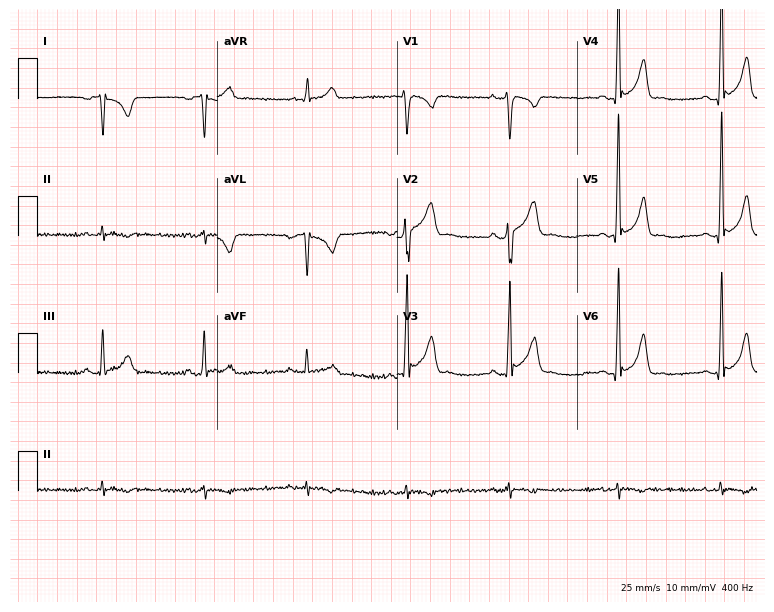
Resting 12-lead electrocardiogram (7.3-second recording at 400 Hz). Patient: a male, 20 years old. None of these six findings is recorded: first-degree AV block, right bundle branch block, left bundle branch block, sinus bradycardia, atrial fibrillation, sinus tachycardia.